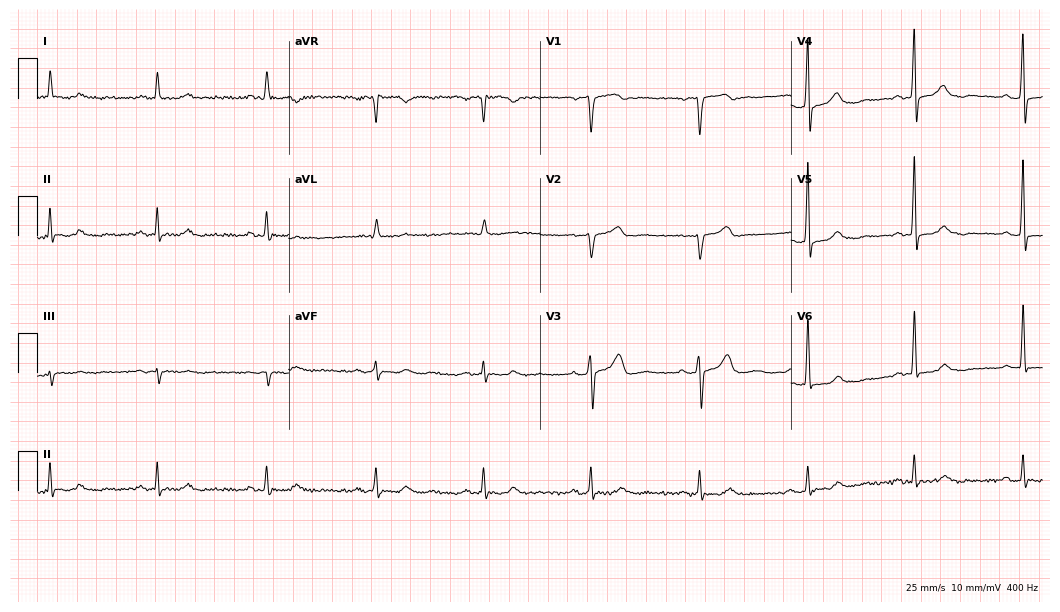
Electrocardiogram, a male, 82 years old. Overall reading on record: normal ECG.